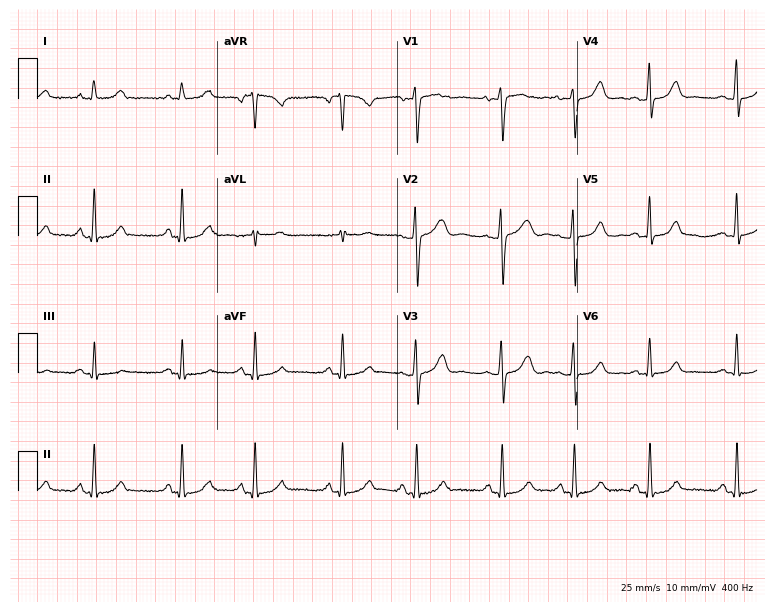
ECG (7.3-second recording at 400 Hz) — a 19-year-old female. Labelled as a normal ECG.